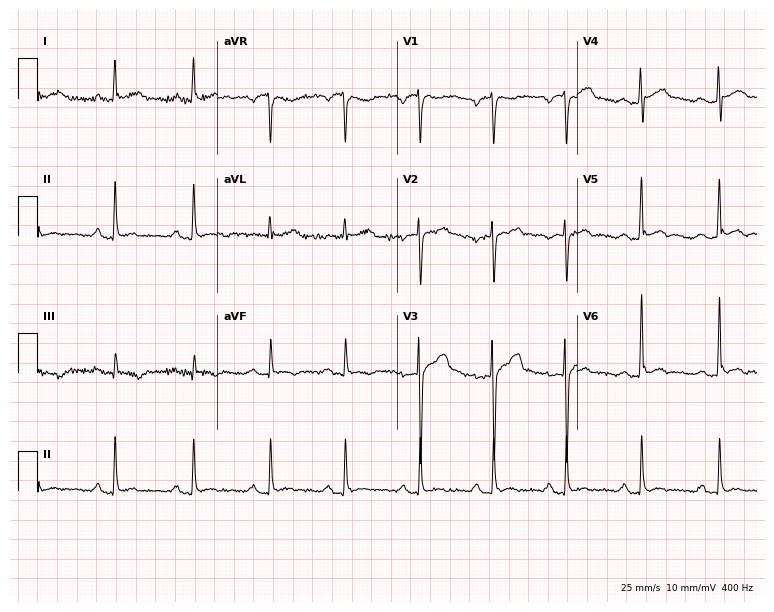
ECG (7.3-second recording at 400 Hz) — a man, 28 years old. Screened for six findings — first-degree AV block, right bundle branch block, left bundle branch block, sinus bradycardia, atrial fibrillation, sinus tachycardia — none is recorded. Other findings, if any, are not listed.